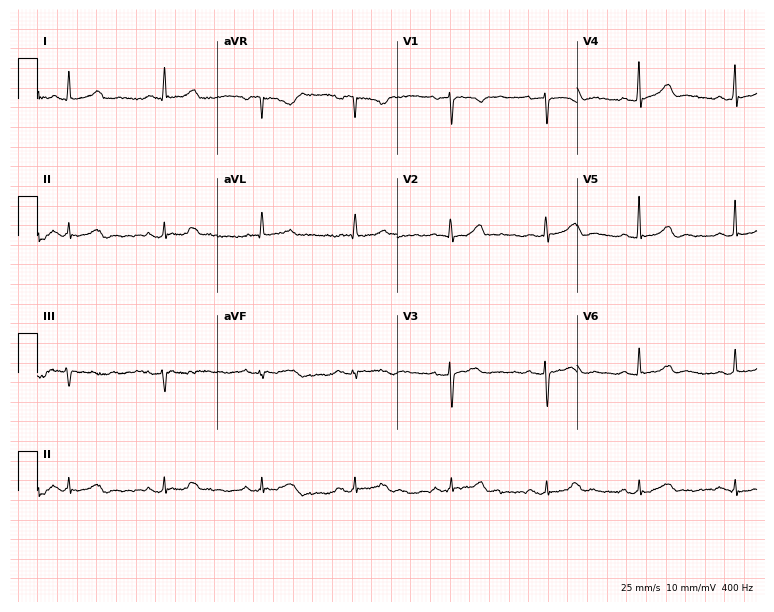
Resting 12-lead electrocardiogram (7.3-second recording at 400 Hz). Patient: a female, 82 years old. Read as a normal ECG.